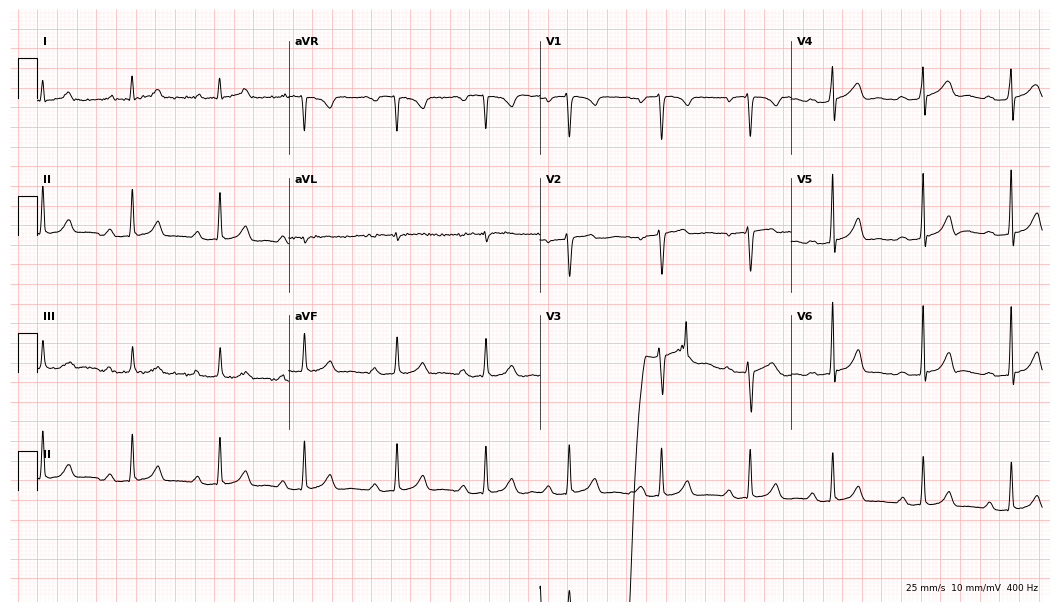
Electrocardiogram, a female patient, 30 years old. Of the six screened findings (first-degree AV block, right bundle branch block, left bundle branch block, sinus bradycardia, atrial fibrillation, sinus tachycardia), none is recorded. Other findings, if any, are not listed.